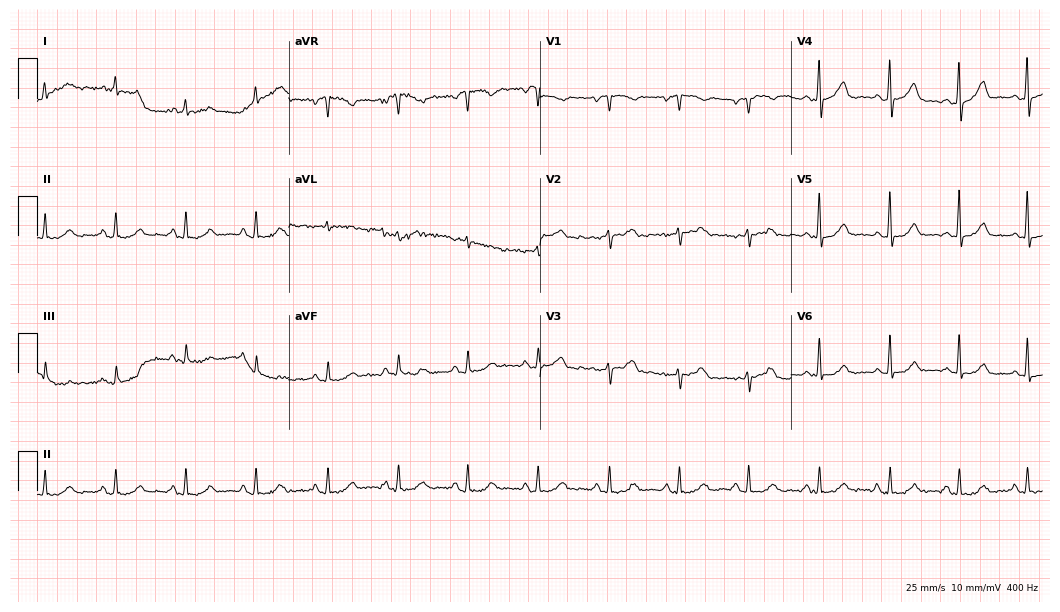
Electrocardiogram (10.2-second recording at 400 Hz), a woman, 61 years old. Overall reading on record: normal ECG.